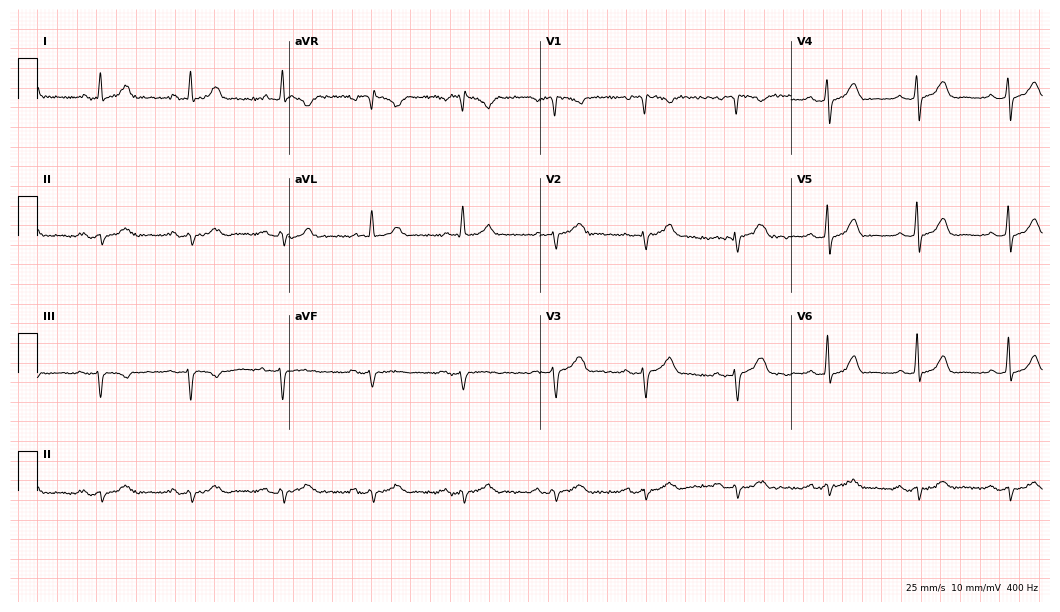
Resting 12-lead electrocardiogram. Patient: a male, 61 years old. Read as a normal ECG.